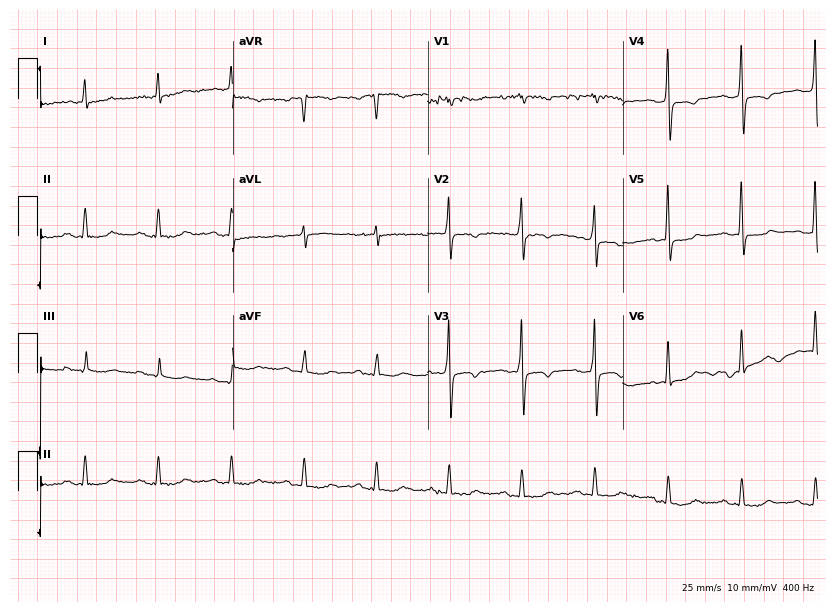
Electrocardiogram, a 78-year-old female. Of the six screened findings (first-degree AV block, right bundle branch block (RBBB), left bundle branch block (LBBB), sinus bradycardia, atrial fibrillation (AF), sinus tachycardia), none is recorded. Findings outside these six are not listed.